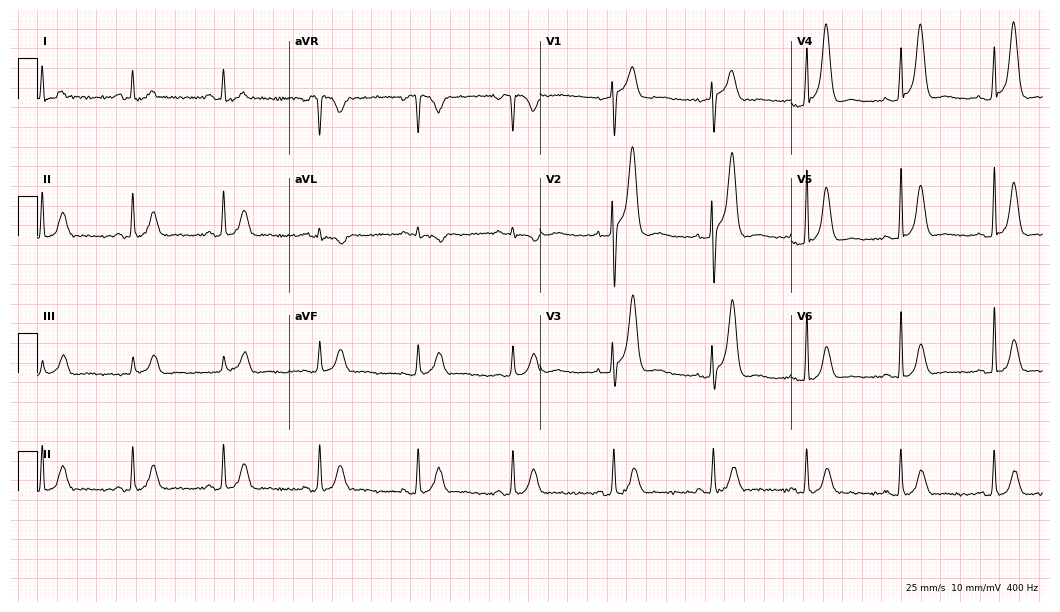
Standard 12-lead ECG recorded from a female, 48 years old. None of these six findings is recorded: first-degree AV block, right bundle branch block (RBBB), left bundle branch block (LBBB), sinus bradycardia, atrial fibrillation (AF), sinus tachycardia.